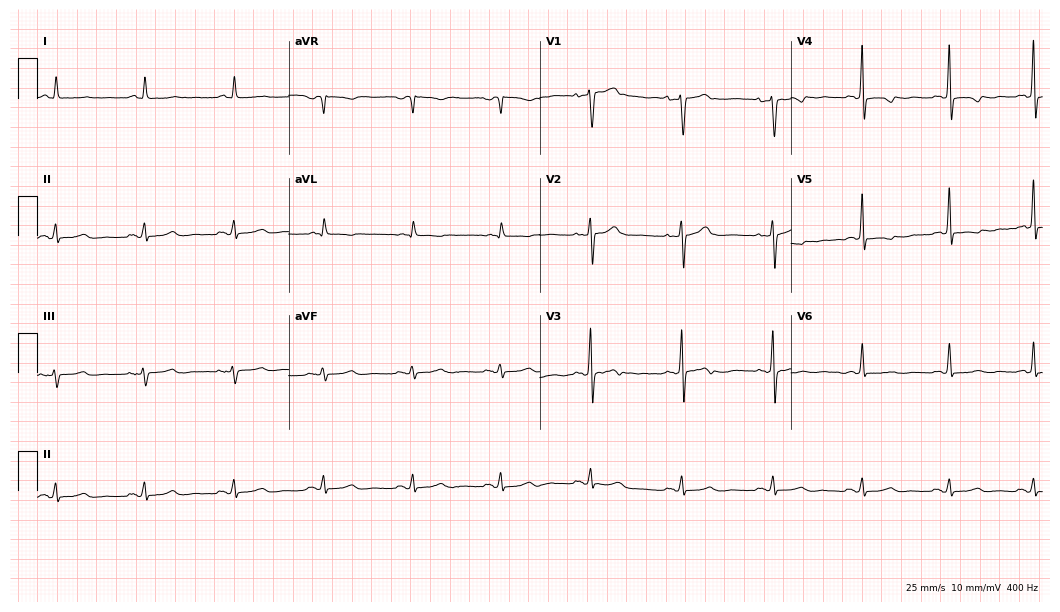
ECG (10.2-second recording at 400 Hz) — a 55-year-old woman. Screened for six findings — first-degree AV block, right bundle branch block, left bundle branch block, sinus bradycardia, atrial fibrillation, sinus tachycardia — none is recorded. Other findings, if any, are not listed.